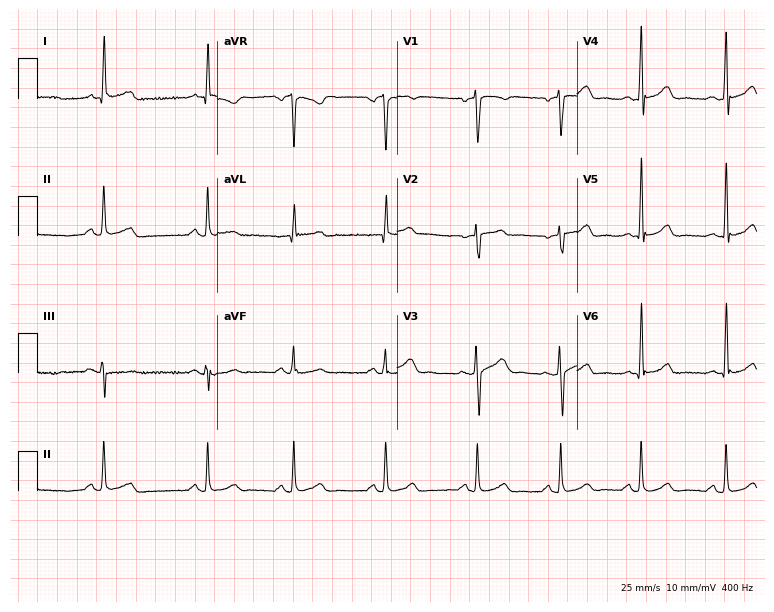
12-lead ECG from a 33-year-old female. Labelled as a normal ECG.